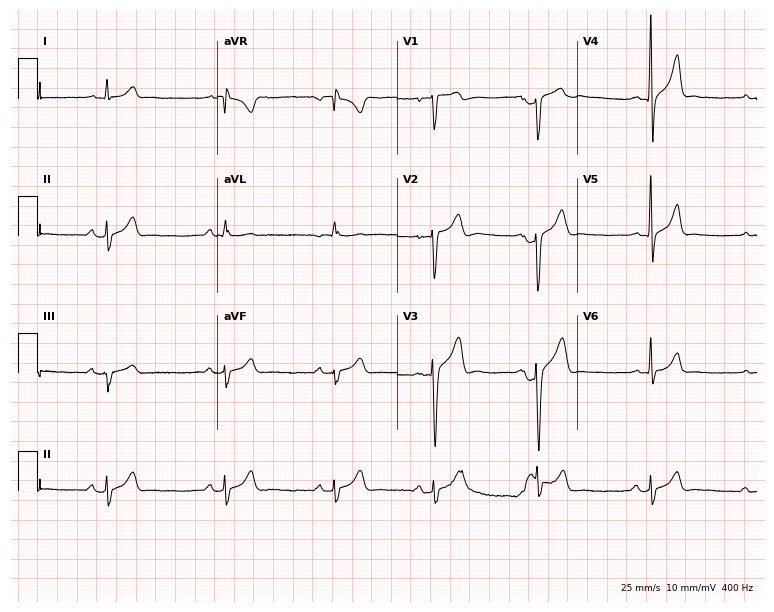
Resting 12-lead electrocardiogram. Patient: a man, 17 years old. None of these six findings is recorded: first-degree AV block, right bundle branch block (RBBB), left bundle branch block (LBBB), sinus bradycardia, atrial fibrillation (AF), sinus tachycardia. Other findings, if any, are not listed.